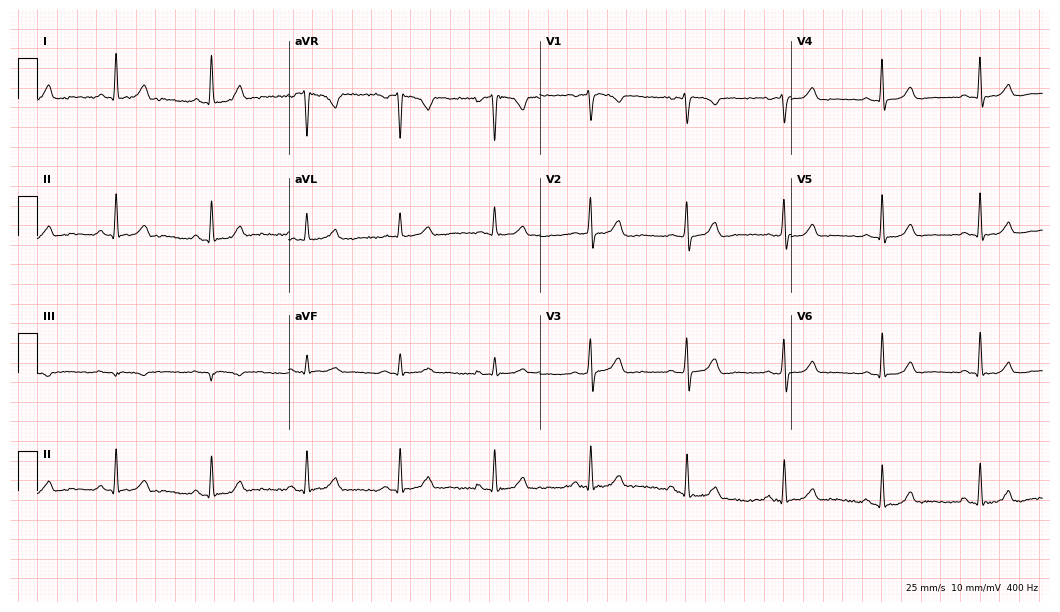
ECG — a female, 46 years old. Labelled as a normal ECG.